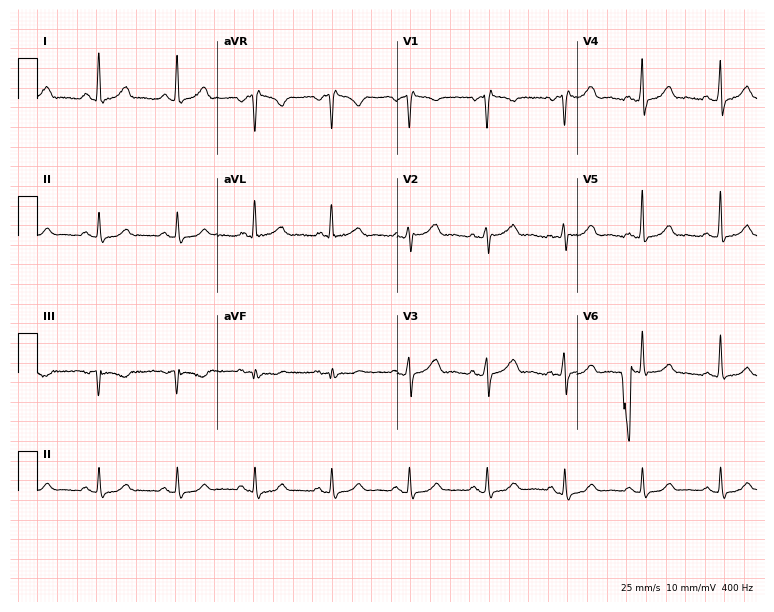
12-lead ECG from a 42-year-old female. Screened for six findings — first-degree AV block, right bundle branch block, left bundle branch block, sinus bradycardia, atrial fibrillation, sinus tachycardia — none is recorded.